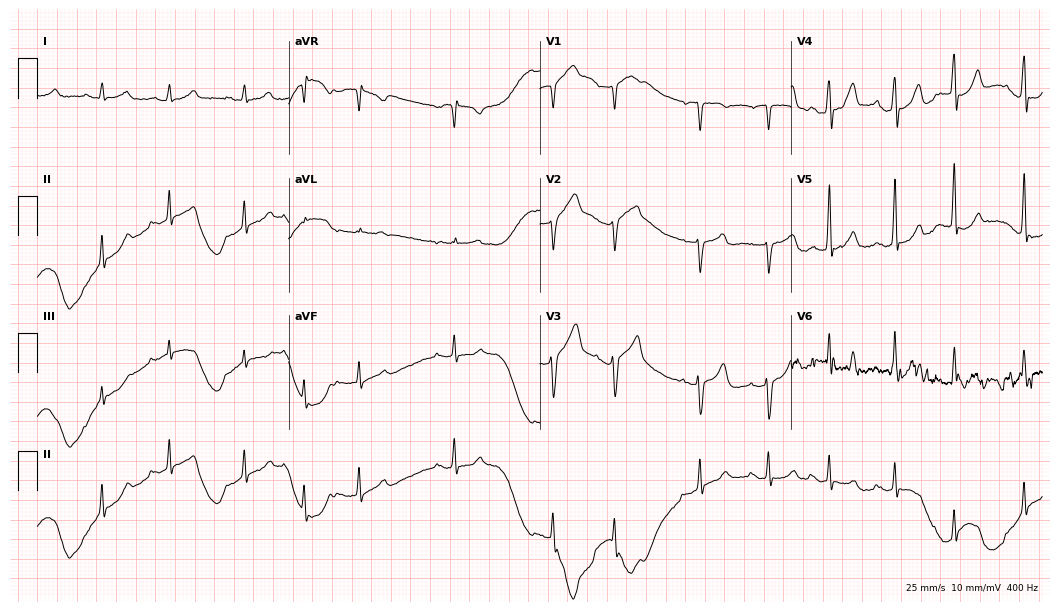
Electrocardiogram (10.2-second recording at 400 Hz), a male, 83 years old. Of the six screened findings (first-degree AV block, right bundle branch block, left bundle branch block, sinus bradycardia, atrial fibrillation, sinus tachycardia), none is recorded.